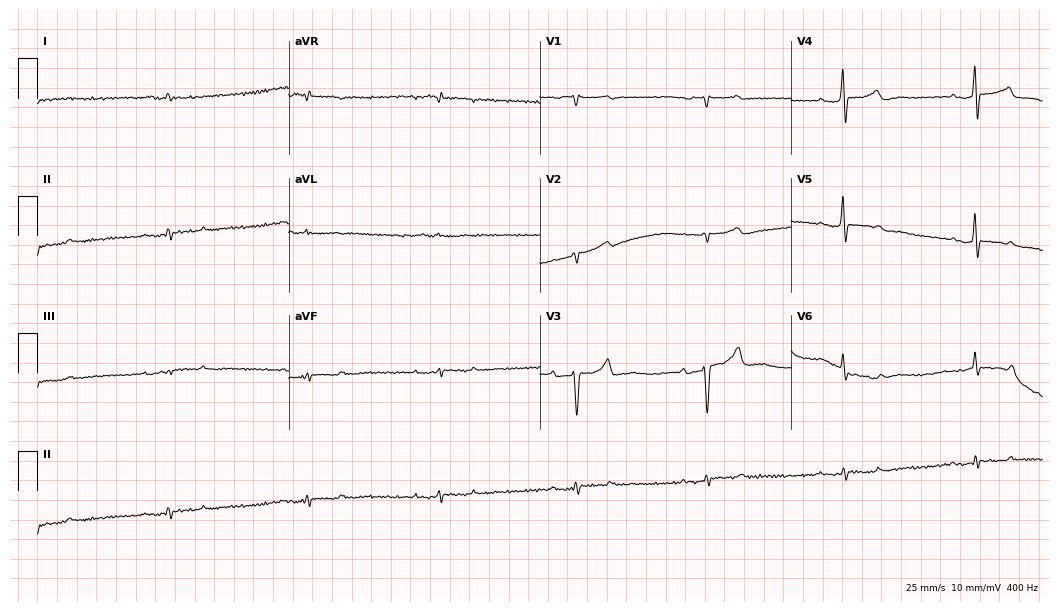
Electrocardiogram, a 61-year-old male. Of the six screened findings (first-degree AV block, right bundle branch block, left bundle branch block, sinus bradycardia, atrial fibrillation, sinus tachycardia), none is recorded. Other findings, if any, are not listed.